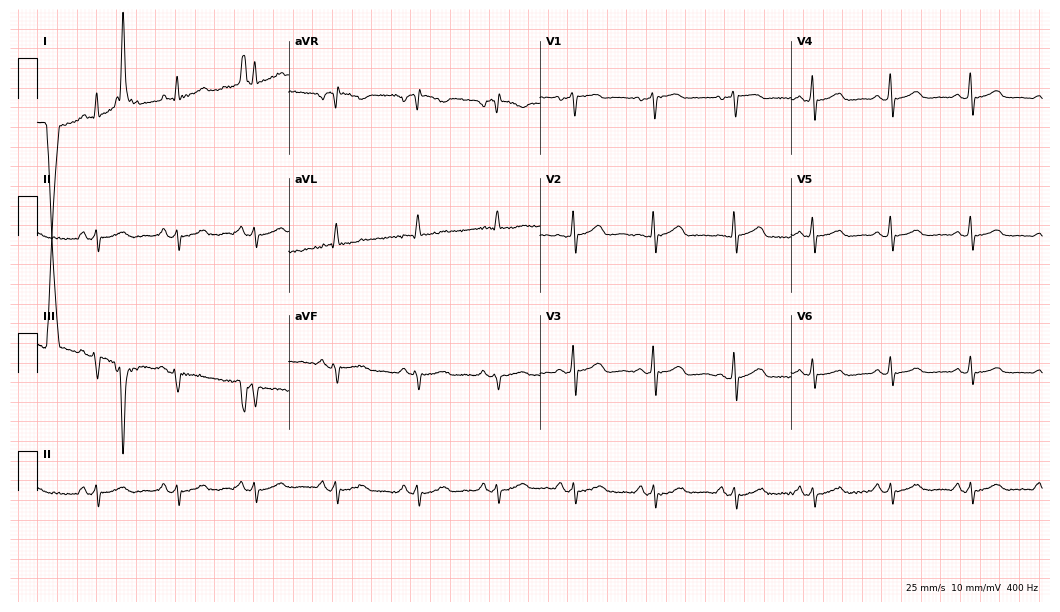
Electrocardiogram, a 52-year-old female patient. Of the six screened findings (first-degree AV block, right bundle branch block, left bundle branch block, sinus bradycardia, atrial fibrillation, sinus tachycardia), none is recorded.